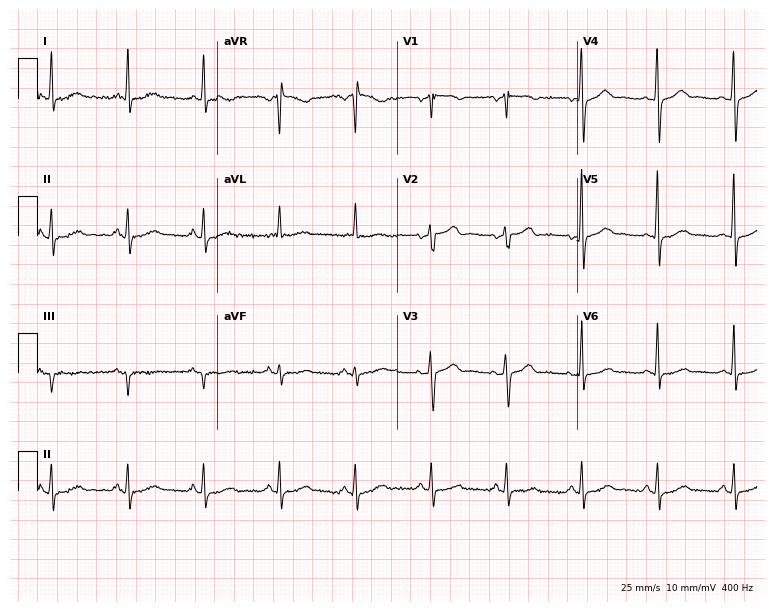
12-lead ECG from a 71-year-old female (7.3-second recording at 400 Hz). No first-degree AV block, right bundle branch block, left bundle branch block, sinus bradycardia, atrial fibrillation or sinus tachycardia recorded for this tracing.